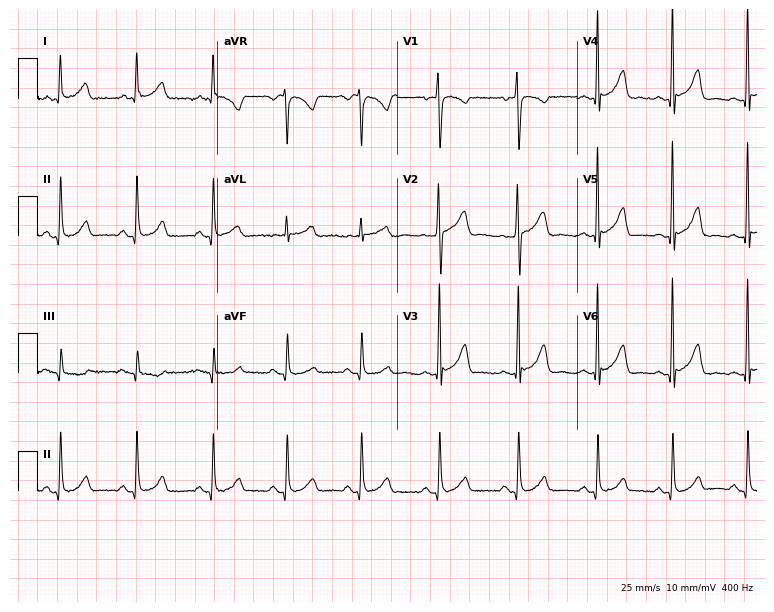
Resting 12-lead electrocardiogram. Patient: a female, 56 years old. None of these six findings is recorded: first-degree AV block, right bundle branch block, left bundle branch block, sinus bradycardia, atrial fibrillation, sinus tachycardia.